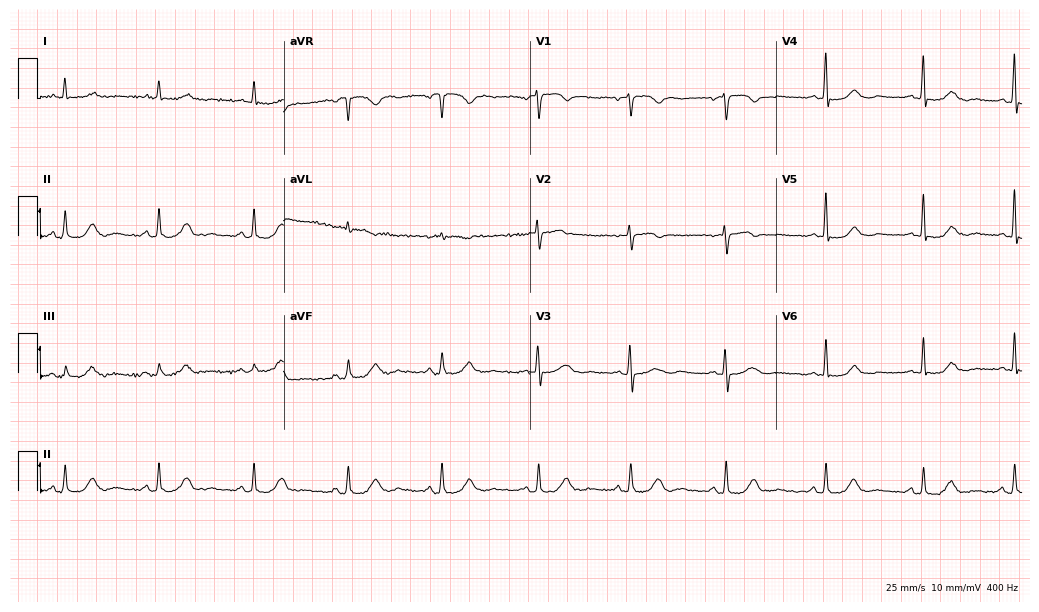
Electrocardiogram, a female, 74 years old. Of the six screened findings (first-degree AV block, right bundle branch block, left bundle branch block, sinus bradycardia, atrial fibrillation, sinus tachycardia), none is recorded. Findings outside these six are not listed.